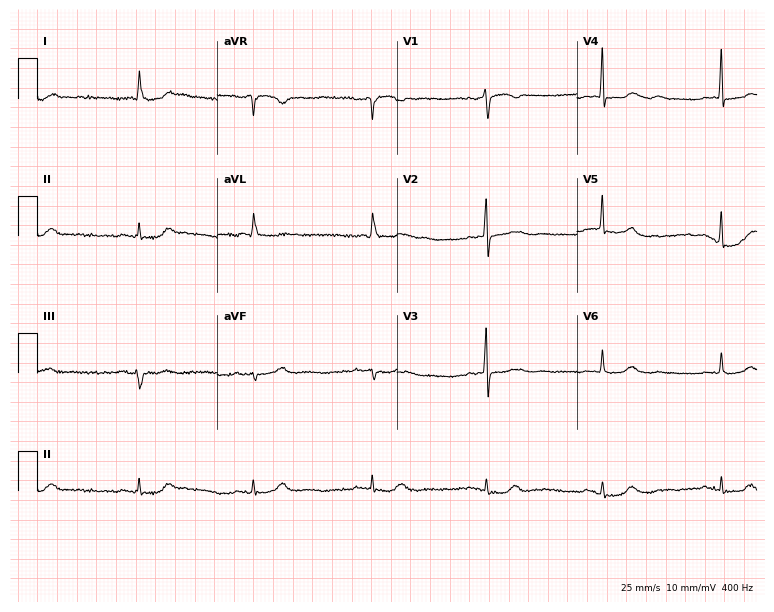
Resting 12-lead electrocardiogram (7.3-second recording at 400 Hz). Patient: a 79-year-old female. None of these six findings is recorded: first-degree AV block, right bundle branch block, left bundle branch block, sinus bradycardia, atrial fibrillation, sinus tachycardia. Only these six findings were labelled.